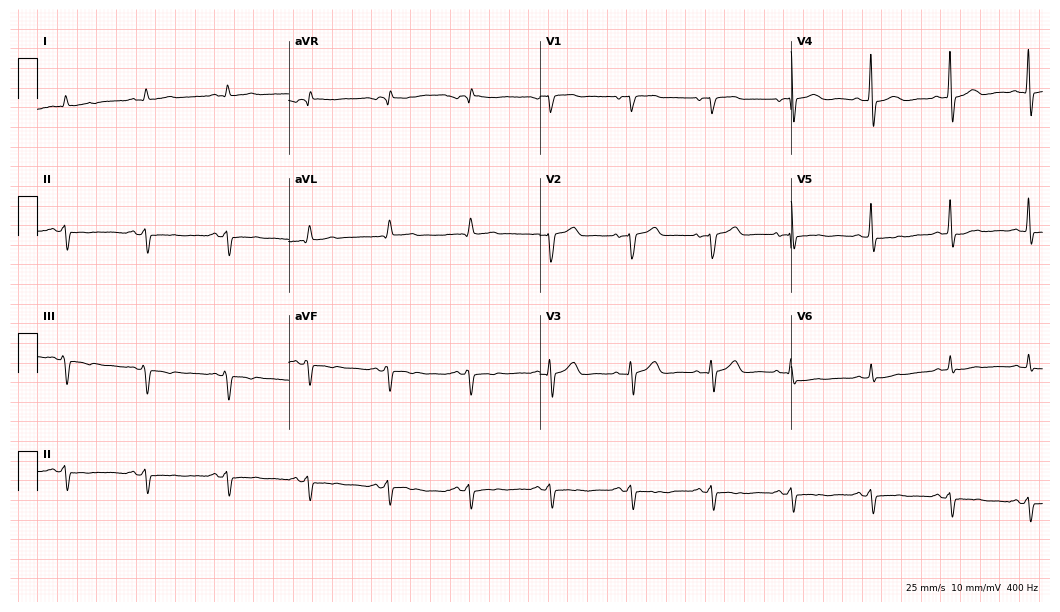
ECG (10.2-second recording at 400 Hz) — a male, 63 years old. Screened for six findings — first-degree AV block, right bundle branch block, left bundle branch block, sinus bradycardia, atrial fibrillation, sinus tachycardia — none is recorded.